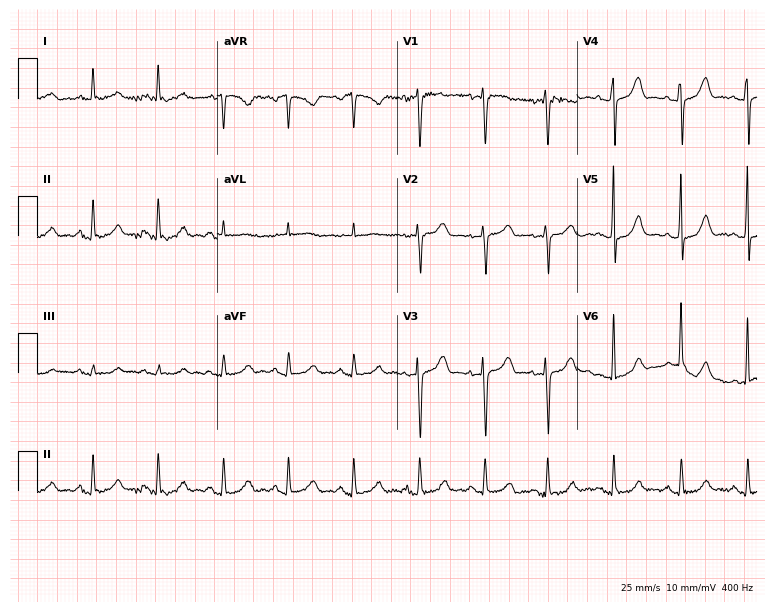
12-lead ECG from a woman, 69 years old. Screened for six findings — first-degree AV block, right bundle branch block, left bundle branch block, sinus bradycardia, atrial fibrillation, sinus tachycardia — none is recorded. Findings outside these six are not listed.